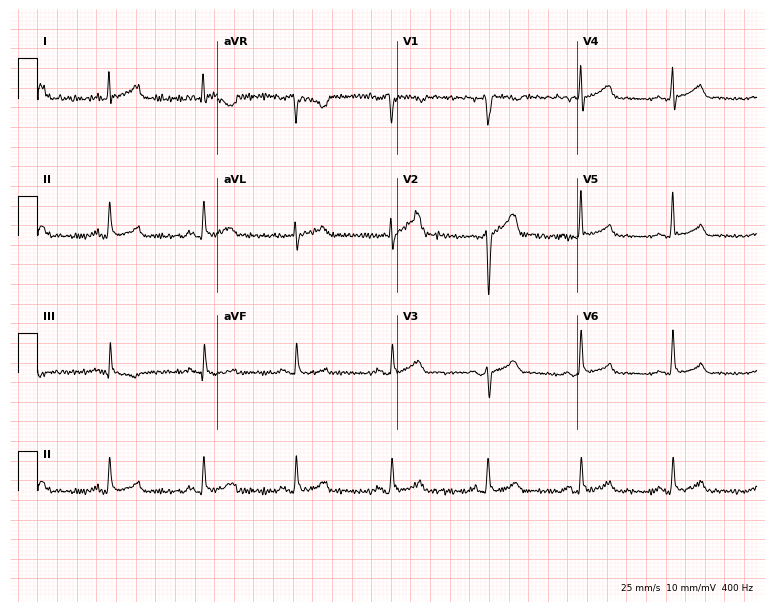
12-lead ECG (7.3-second recording at 400 Hz) from a male patient, 48 years old. Labelled as a normal ECG.